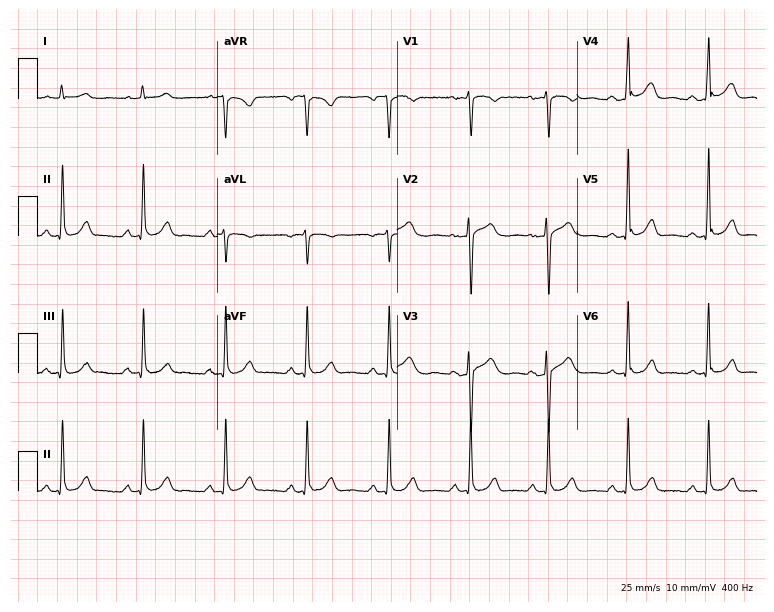
Resting 12-lead electrocardiogram. Patient: a 45-year-old female. Read as a normal ECG.